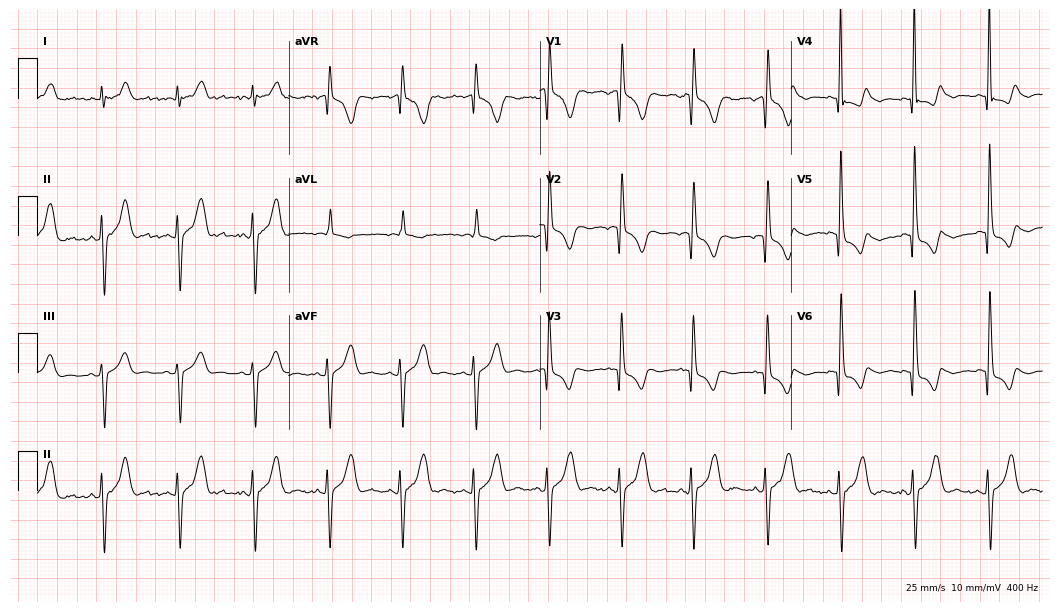
Electrocardiogram, a male patient, 26 years old. Of the six screened findings (first-degree AV block, right bundle branch block (RBBB), left bundle branch block (LBBB), sinus bradycardia, atrial fibrillation (AF), sinus tachycardia), none is recorded.